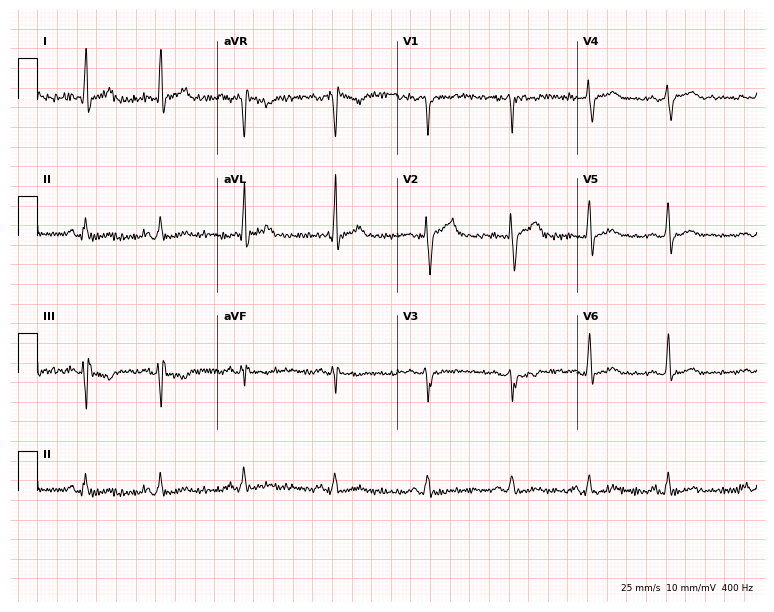
Resting 12-lead electrocardiogram (7.3-second recording at 400 Hz). Patient: a 33-year-old male. None of these six findings is recorded: first-degree AV block, right bundle branch block, left bundle branch block, sinus bradycardia, atrial fibrillation, sinus tachycardia. Findings outside these six are not listed.